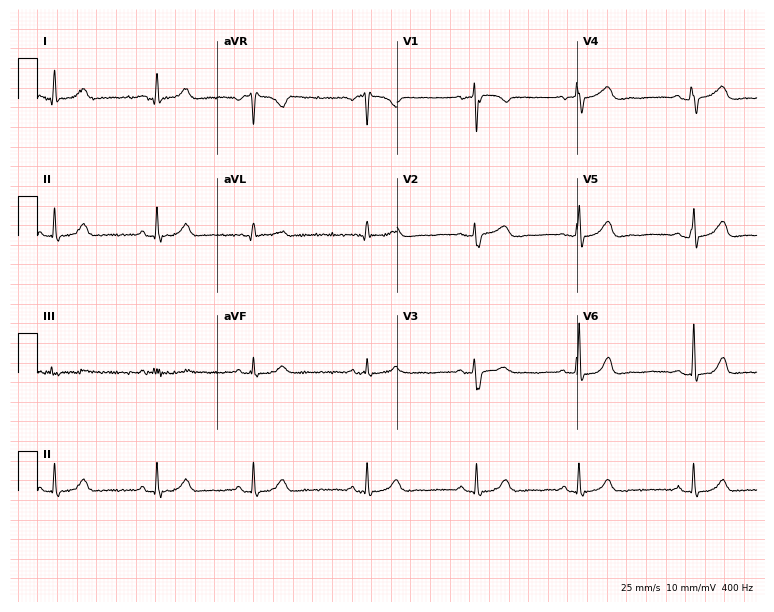
12-lead ECG from a 41-year-old female patient (7.3-second recording at 400 Hz). Recorded interpretation: within normal limits.